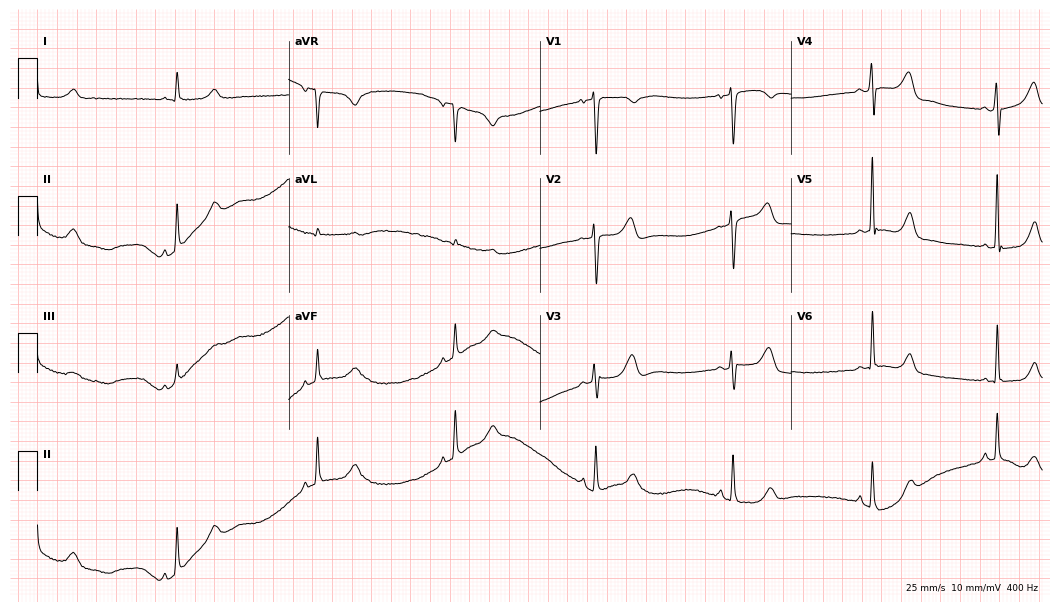
Resting 12-lead electrocardiogram. Patient: a man, 80 years old. The tracing shows sinus bradycardia (a sinus rate of 50 beats per minute or less).